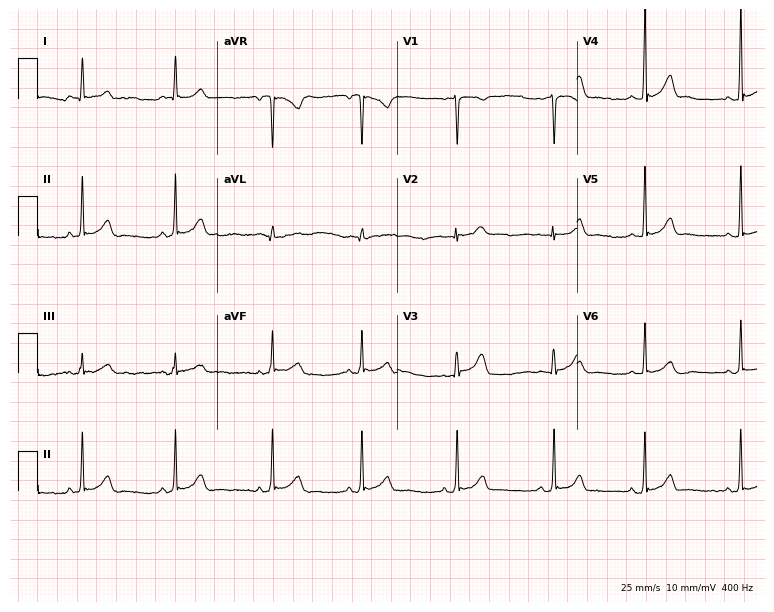
12-lead ECG from a female, 20 years old (7.3-second recording at 400 Hz). Recorded interpretation: within normal limits.